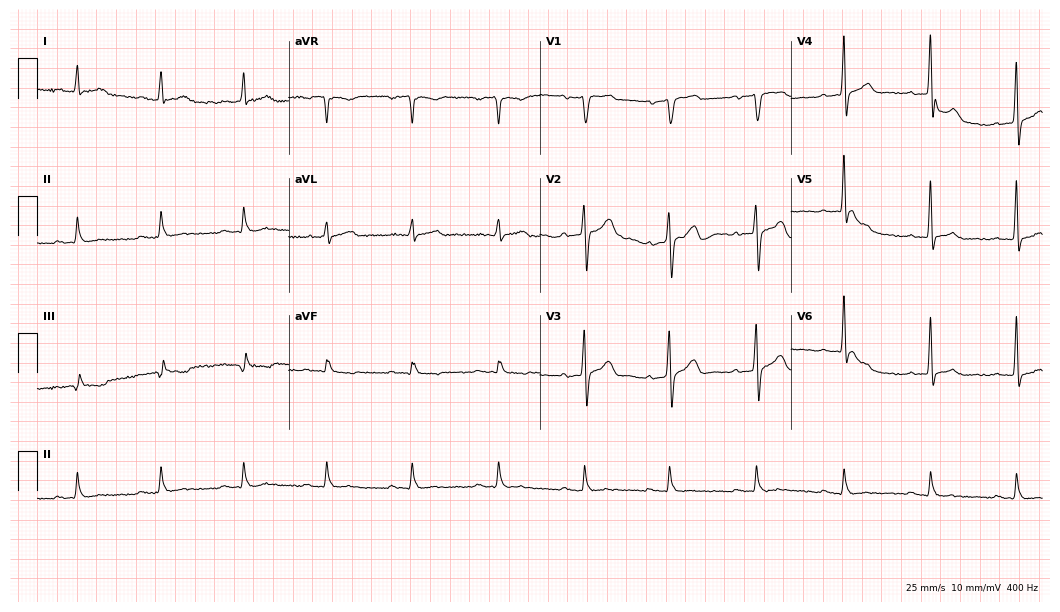
Standard 12-lead ECG recorded from a 40-year-old male patient. None of these six findings is recorded: first-degree AV block, right bundle branch block, left bundle branch block, sinus bradycardia, atrial fibrillation, sinus tachycardia.